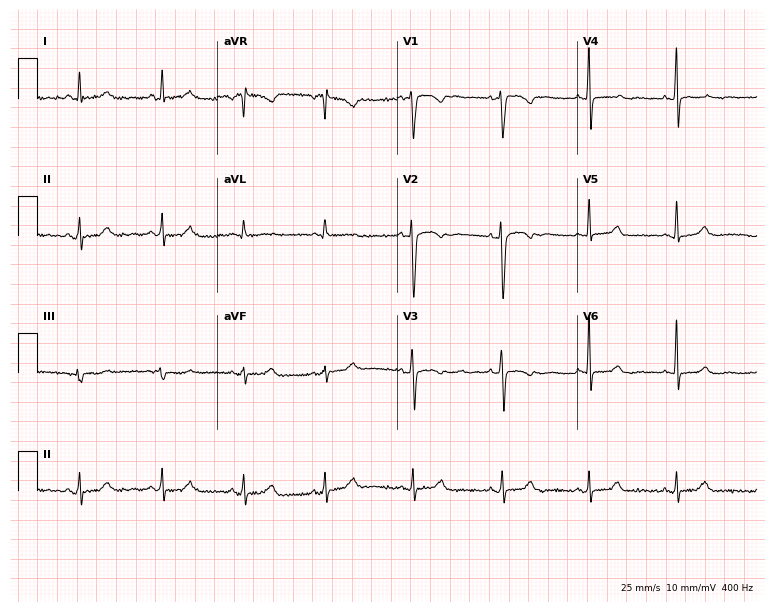
Electrocardiogram (7.3-second recording at 400 Hz), a 45-year-old female. Of the six screened findings (first-degree AV block, right bundle branch block (RBBB), left bundle branch block (LBBB), sinus bradycardia, atrial fibrillation (AF), sinus tachycardia), none is recorded.